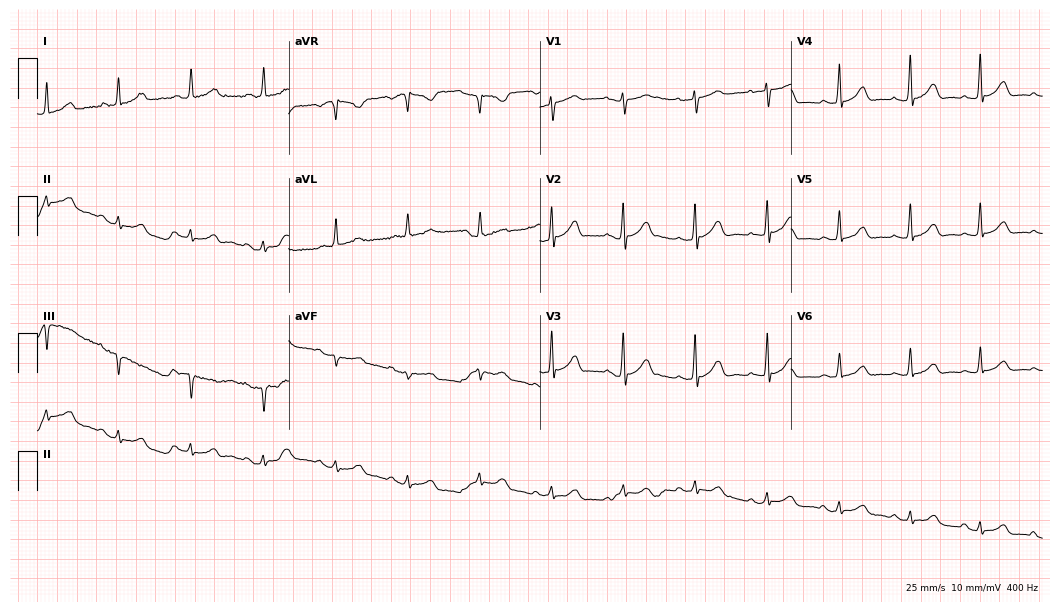
12-lead ECG from a woman, 80 years old. Labelled as a normal ECG.